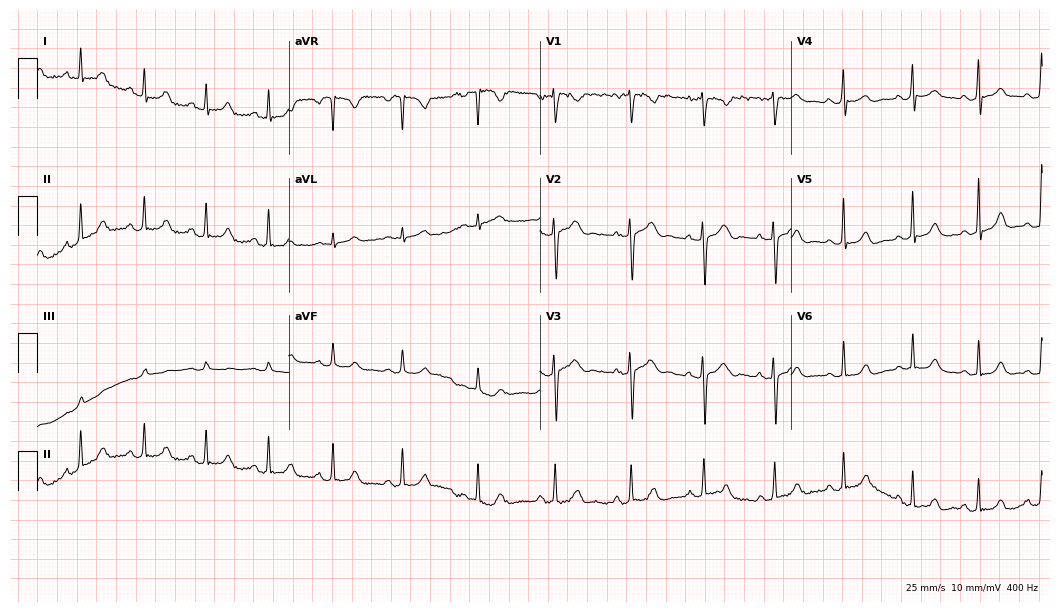
12-lead ECG from a female, 26 years old (10.2-second recording at 400 Hz). Recorded interpretation: within normal limits.